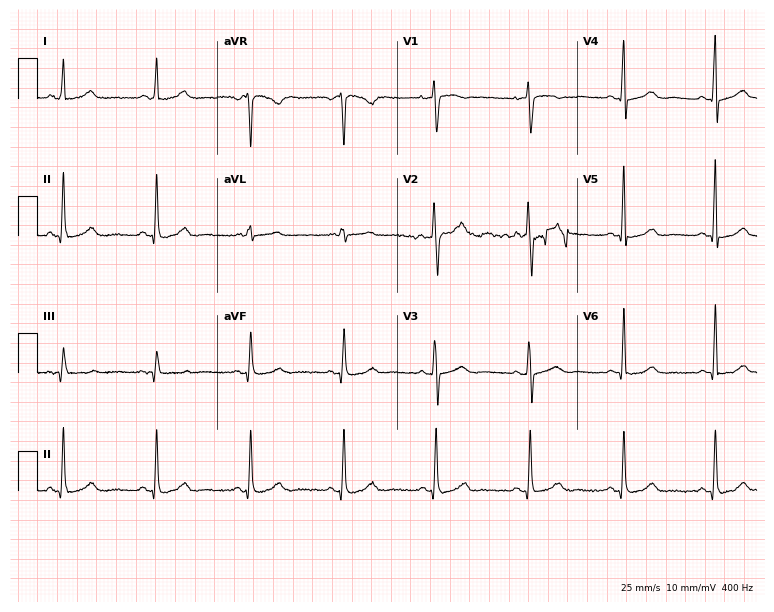
Standard 12-lead ECG recorded from a female patient, 48 years old (7.3-second recording at 400 Hz). Read as a normal ECG.